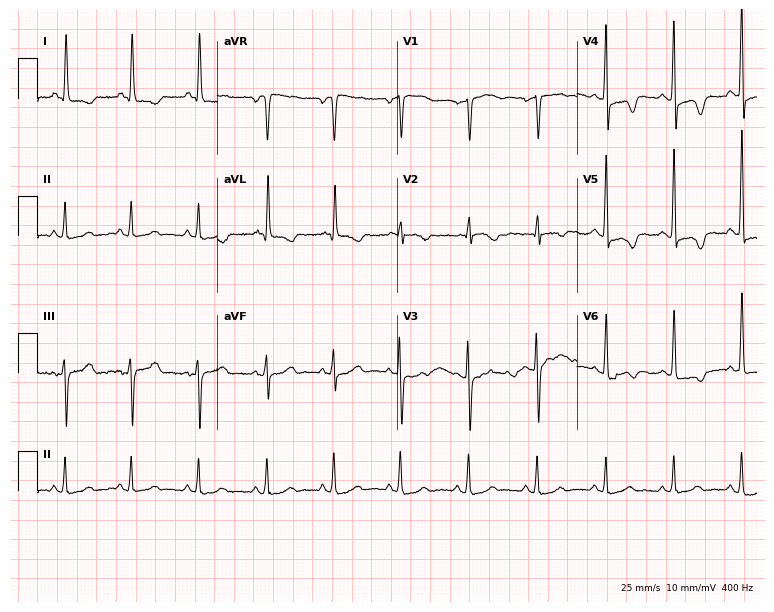
12-lead ECG from a 72-year-old female. Recorded interpretation: within normal limits.